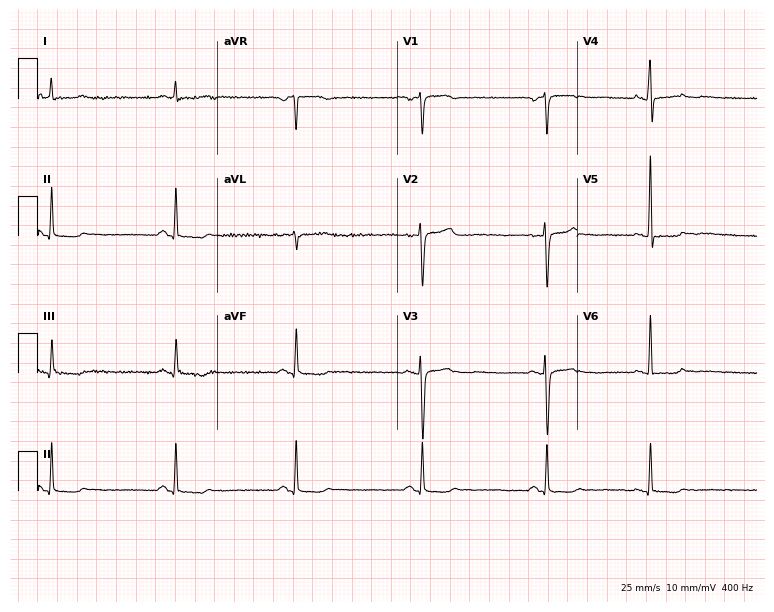
Electrocardiogram (7.3-second recording at 400 Hz), a 57-year-old female patient. Interpretation includes sinus bradycardia (a sinus rate of 50 beats per minute or less).